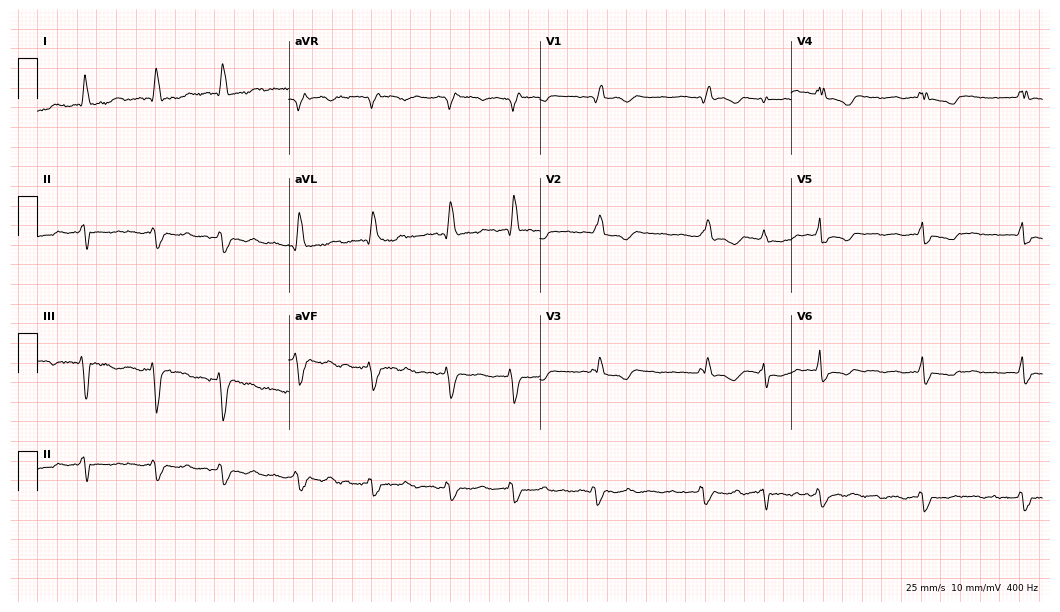
ECG — an 84-year-old female. Findings include right bundle branch block (RBBB), atrial fibrillation (AF).